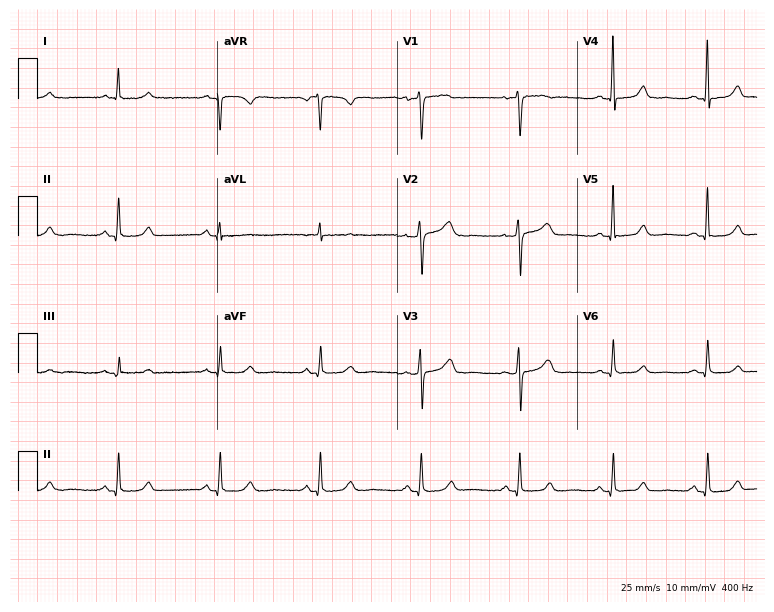
Standard 12-lead ECG recorded from a 44-year-old female patient. Read as a normal ECG.